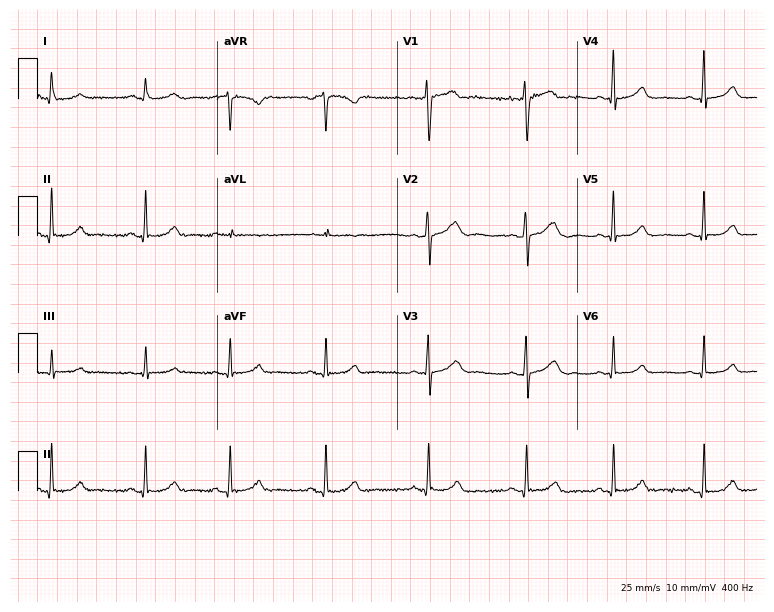
ECG (7.3-second recording at 400 Hz) — a female patient, 44 years old. Screened for six findings — first-degree AV block, right bundle branch block, left bundle branch block, sinus bradycardia, atrial fibrillation, sinus tachycardia — none is recorded. Only these six findings were labelled.